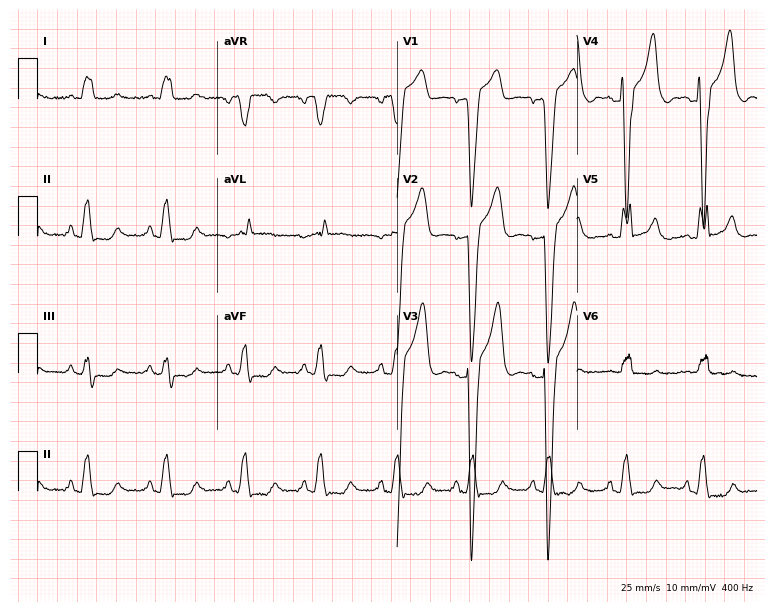
Standard 12-lead ECG recorded from a female, 60 years old. The tracing shows left bundle branch block.